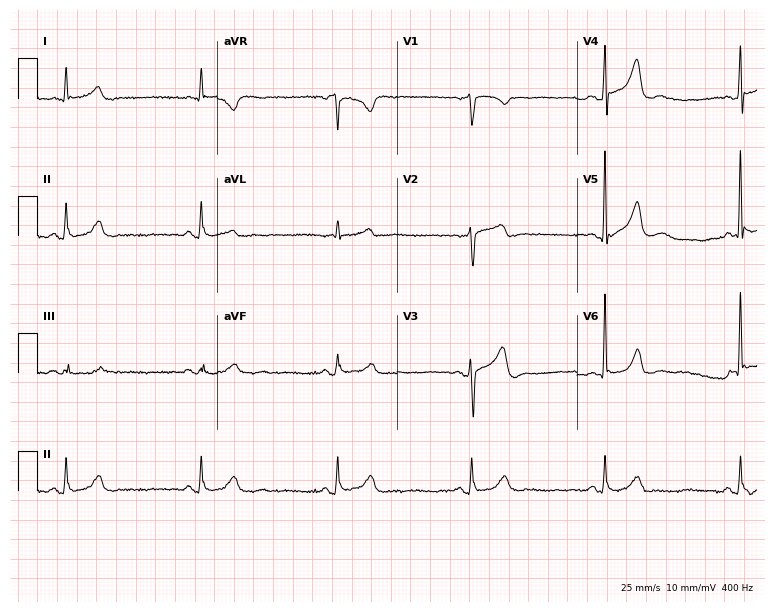
Resting 12-lead electrocardiogram. Patient: a man, 71 years old. The tracing shows sinus bradycardia (a sinus rate of 50 beats per minute or less).